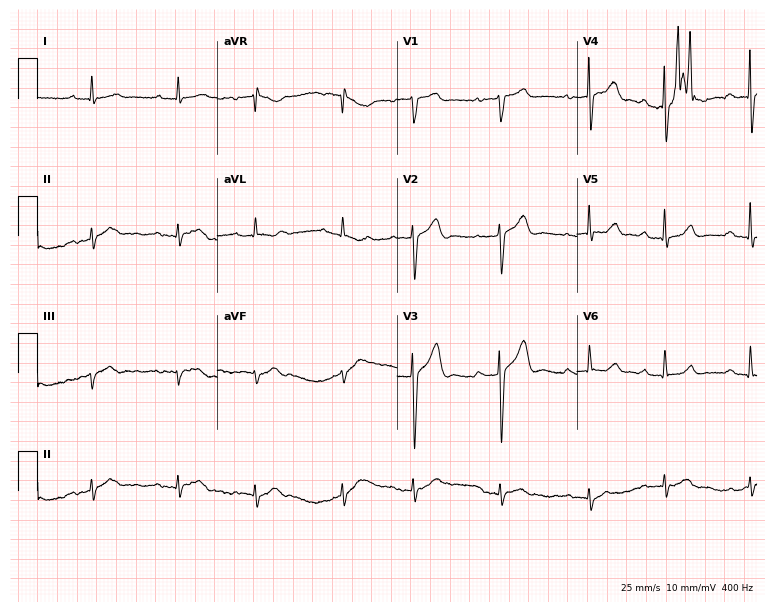
ECG — a 69-year-old male patient. Findings include first-degree AV block.